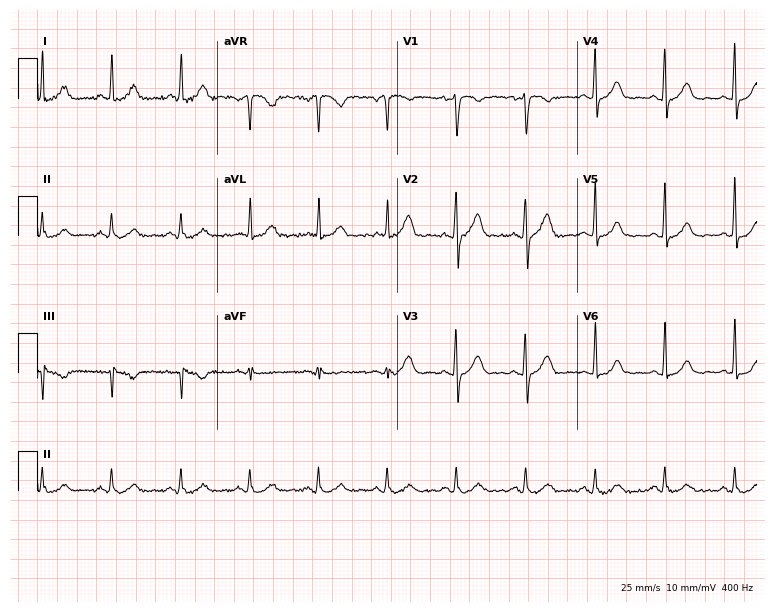
12-lead ECG from a male, 61 years old. Recorded interpretation: within normal limits.